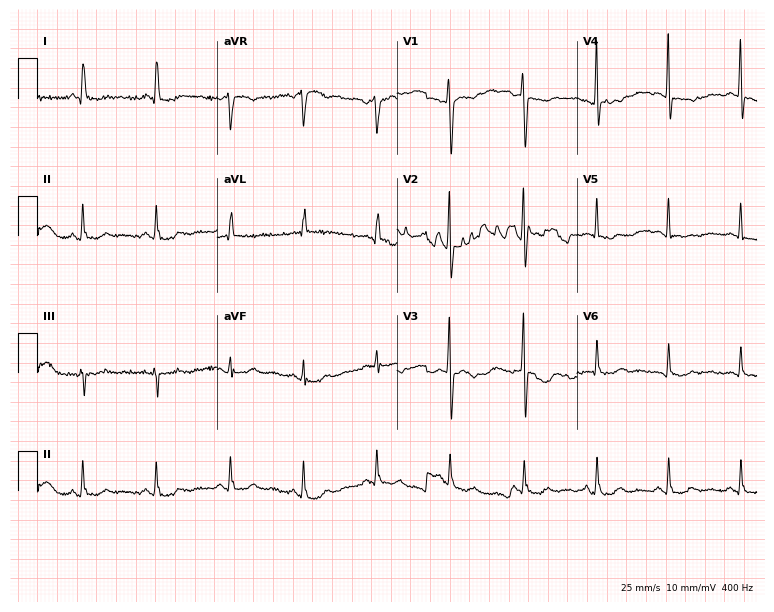
ECG — a female, 64 years old. Screened for six findings — first-degree AV block, right bundle branch block, left bundle branch block, sinus bradycardia, atrial fibrillation, sinus tachycardia — none is recorded.